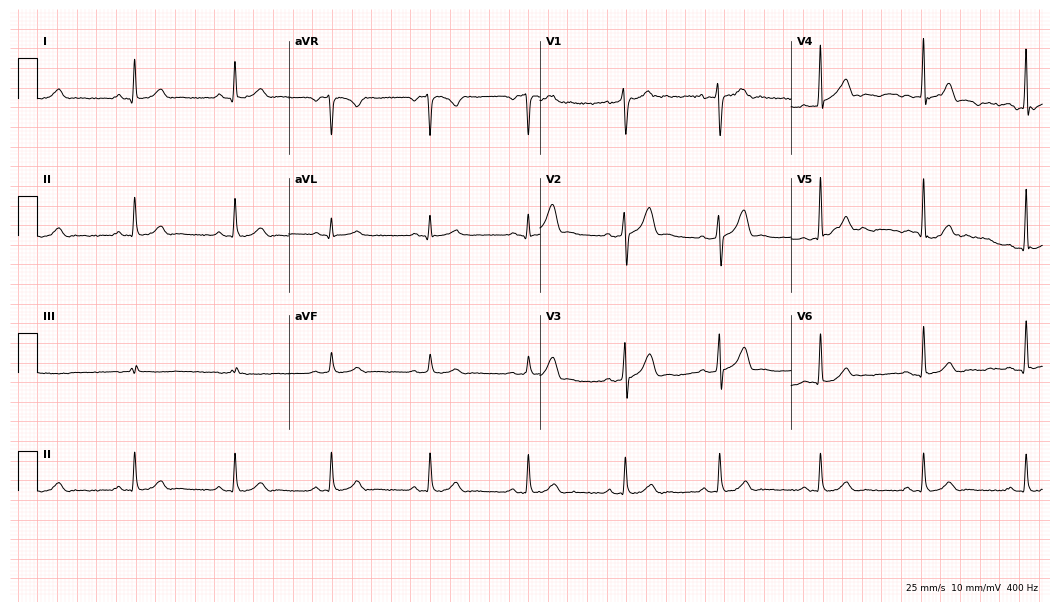
12-lead ECG from a man, 30 years old. Labelled as a normal ECG.